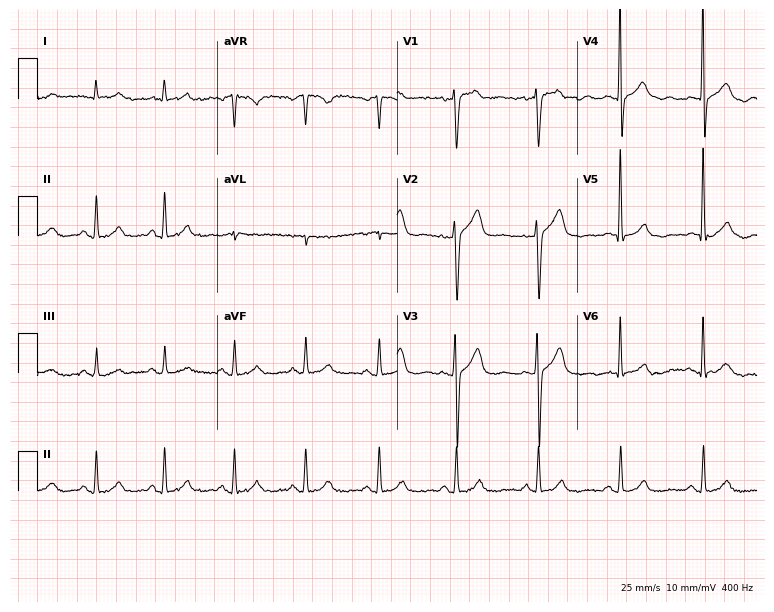
Standard 12-lead ECG recorded from a 54-year-old male patient. None of these six findings is recorded: first-degree AV block, right bundle branch block (RBBB), left bundle branch block (LBBB), sinus bradycardia, atrial fibrillation (AF), sinus tachycardia. Only these six findings were labelled.